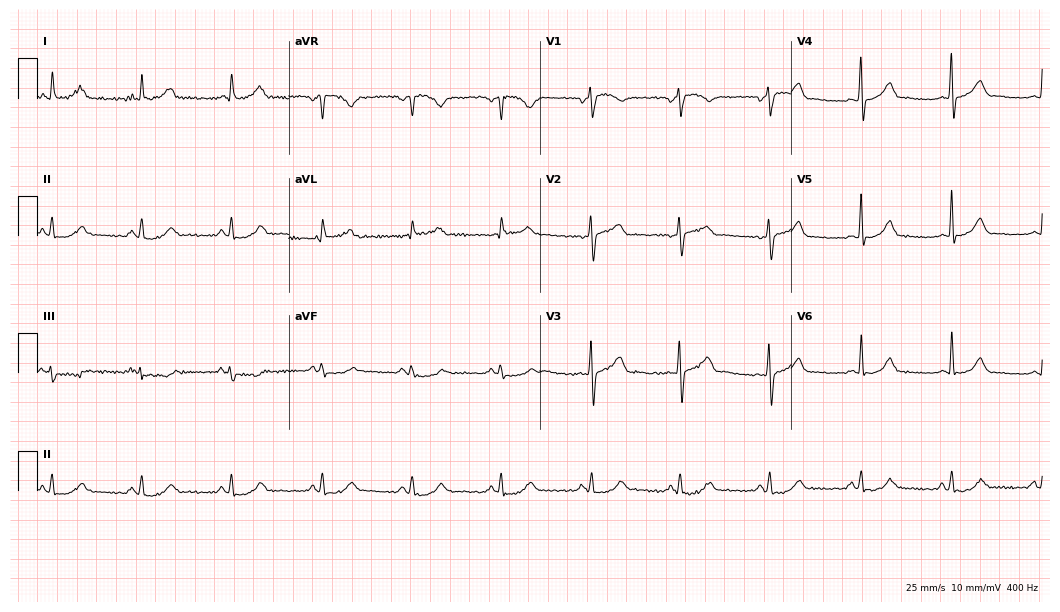
12-lead ECG from a 62-year-old woman. Labelled as a normal ECG.